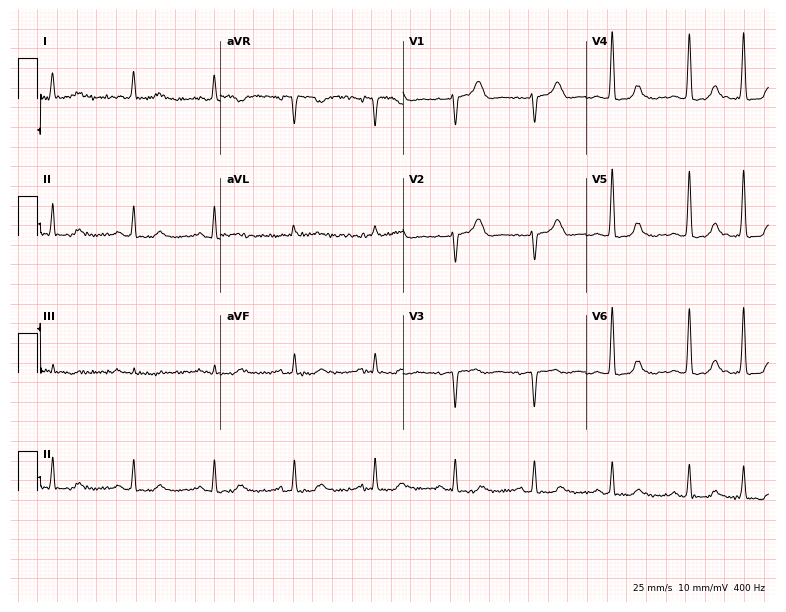
12-lead ECG (7.5-second recording at 400 Hz) from a woman, 73 years old. Labelled as a normal ECG.